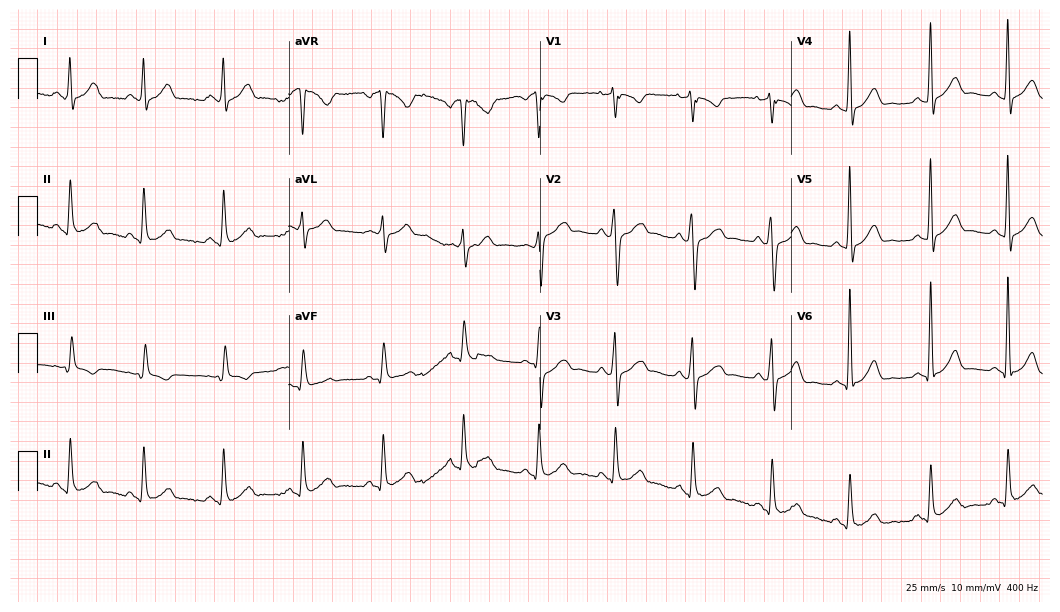
ECG (10.2-second recording at 400 Hz) — a 44-year-old man. Screened for six findings — first-degree AV block, right bundle branch block, left bundle branch block, sinus bradycardia, atrial fibrillation, sinus tachycardia — none is recorded.